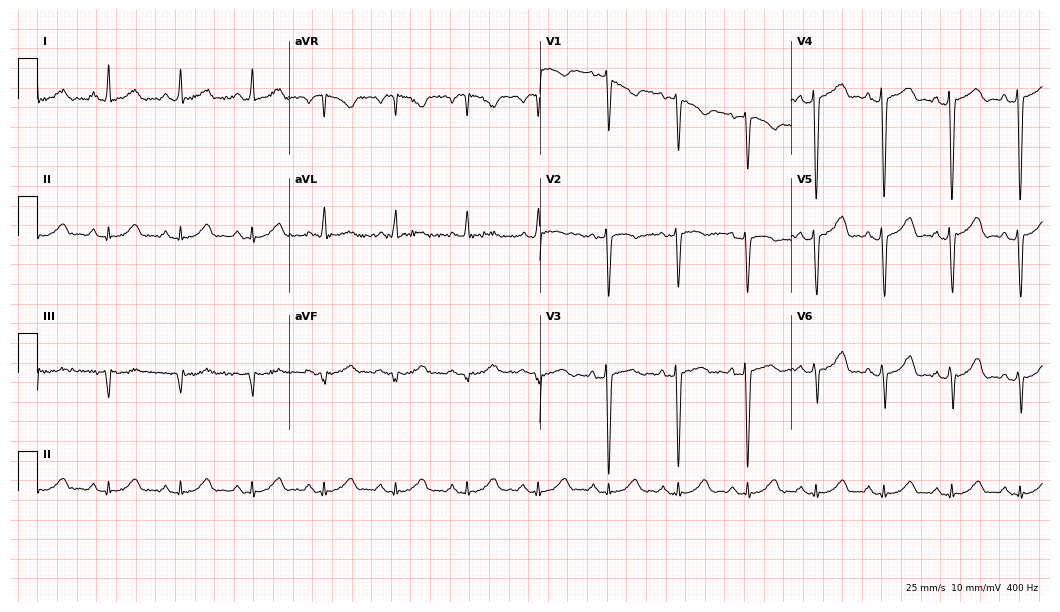
Resting 12-lead electrocardiogram. Patient: a female, 47 years old. None of these six findings is recorded: first-degree AV block, right bundle branch block, left bundle branch block, sinus bradycardia, atrial fibrillation, sinus tachycardia.